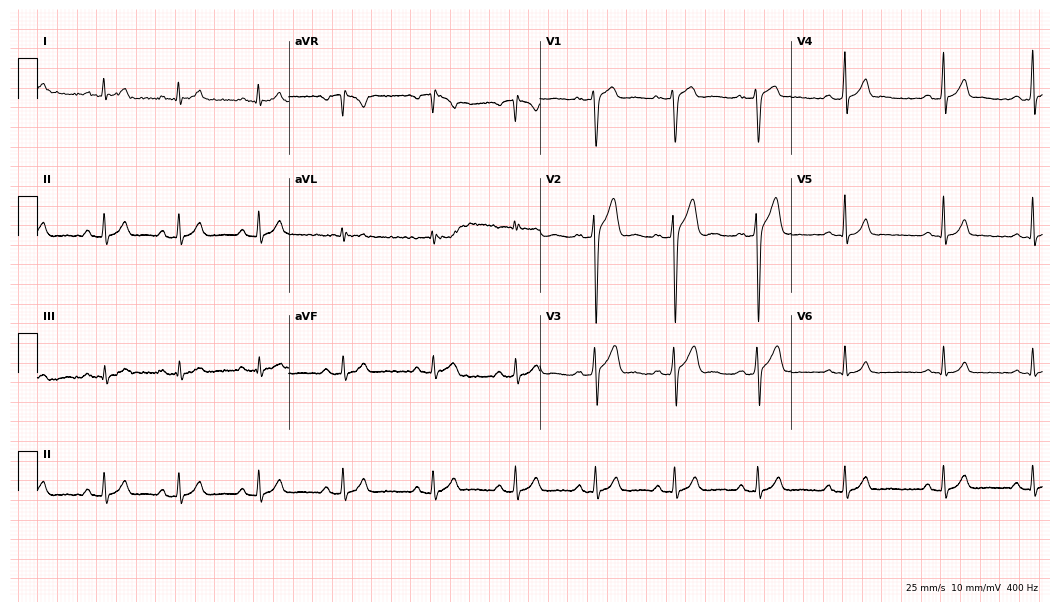
Electrocardiogram (10.2-second recording at 400 Hz), a 24-year-old male. Overall reading on record: normal ECG.